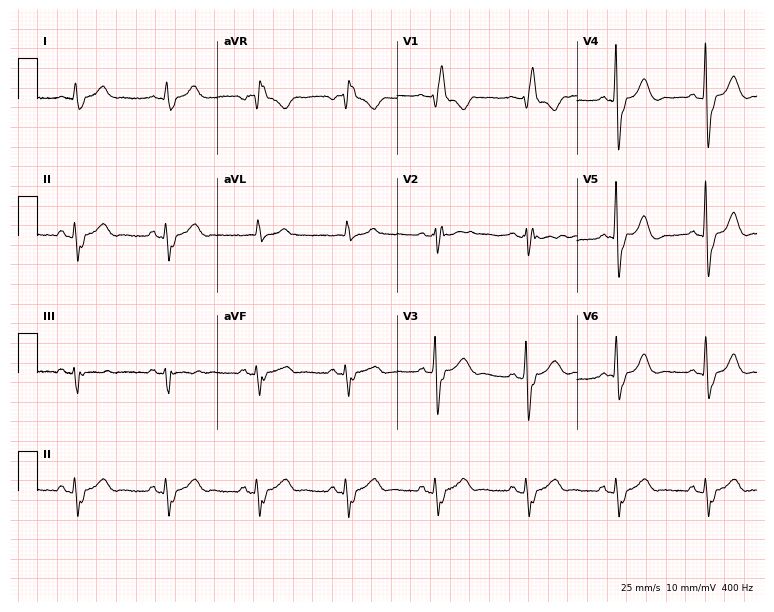
ECG (7.3-second recording at 400 Hz) — a 66-year-old male patient. Findings include right bundle branch block.